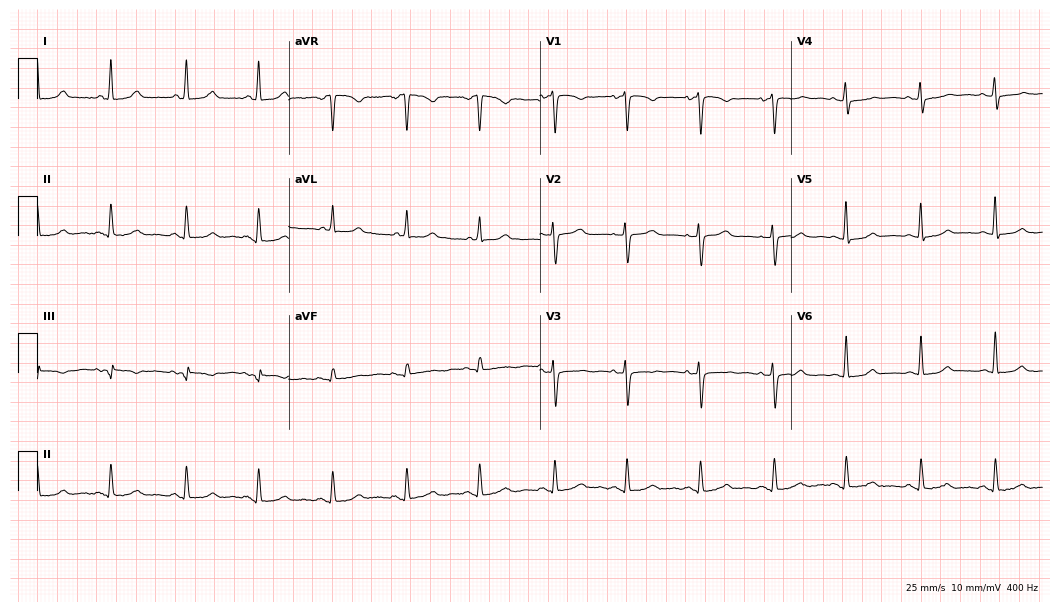
12-lead ECG (10.2-second recording at 400 Hz) from a female patient, 59 years old. Screened for six findings — first-degree AV block, right bundle branch block (RBBB), left bundle branch block (LBBB), sinus bradycardia, atrial fibrillation (AF), sinus tachycardia — none is recorded.